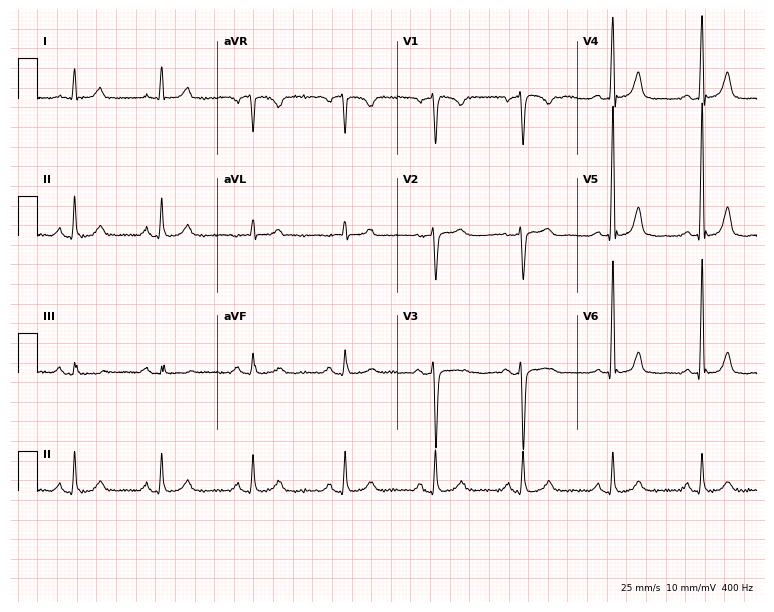
12-lead ECG from a 57-year-old male. Labelled as a normal ECG.